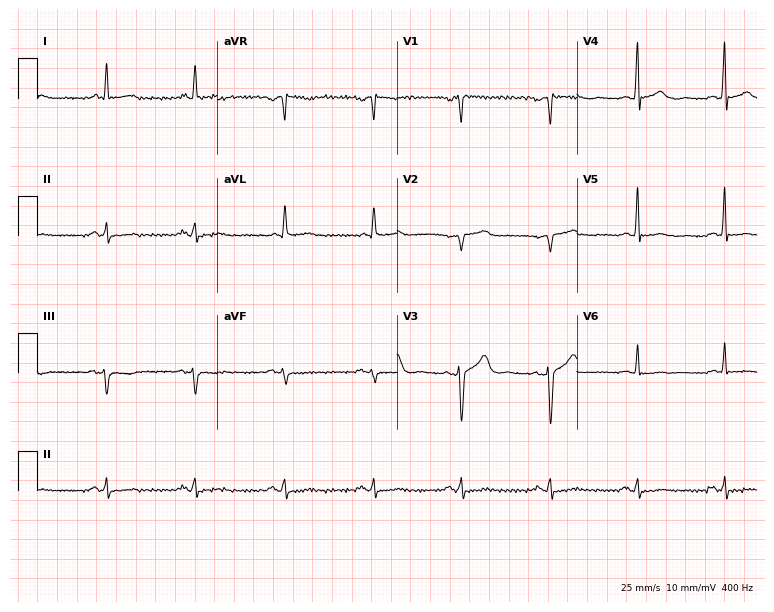
ECG — a male patient, 72 years old. Labelled as a normal ECG.